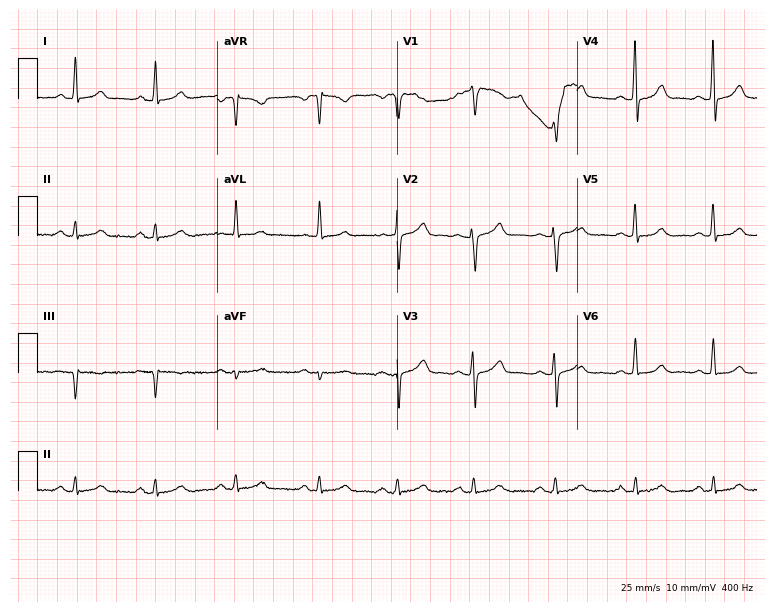
Electrocardiogram (7.3-second recording at 400 Hz), a woman, 30 years old. Overall reading on record: normal ECG.